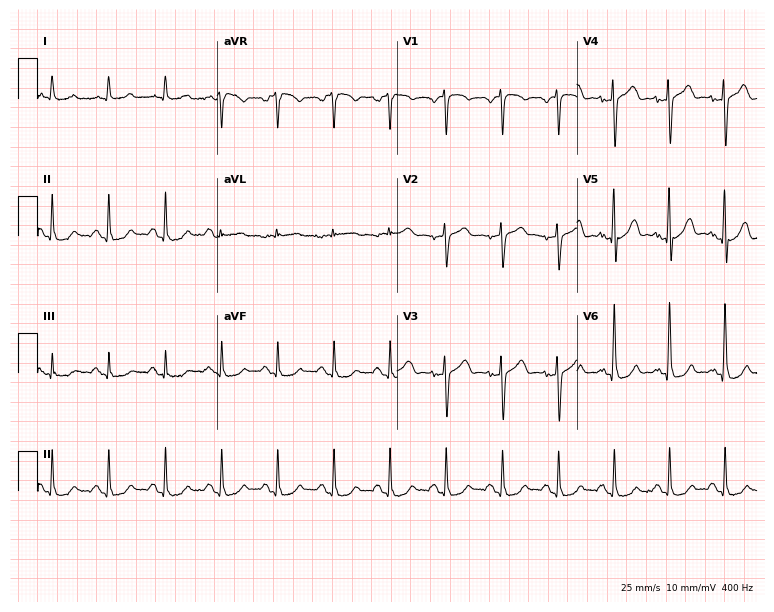
ECG (7.3-second recording at 400 Hz) — a male, 71 years old. Findings include sinus tachycardia (a sinus rate of 100 beats per minute or more).